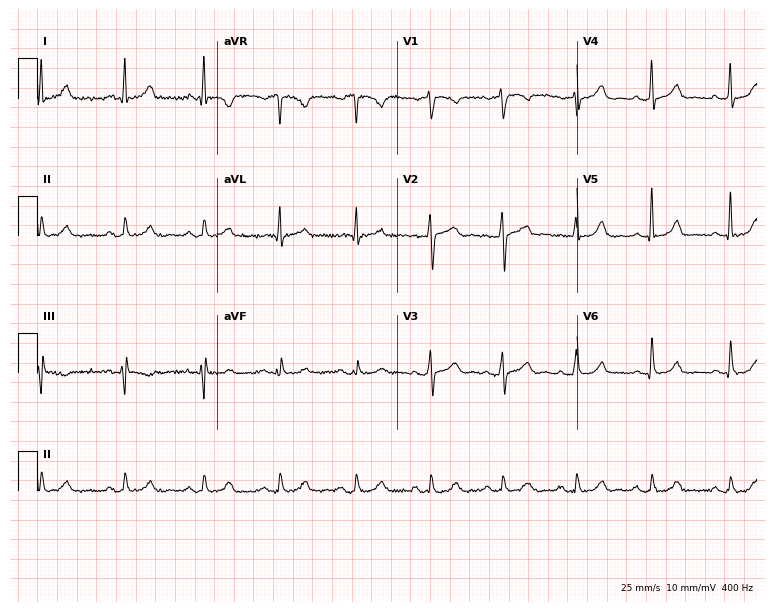
12-lead ECG (7.3-second recording at 400 Hz) from a 59-year-old man. Labelled as a normal ECG.